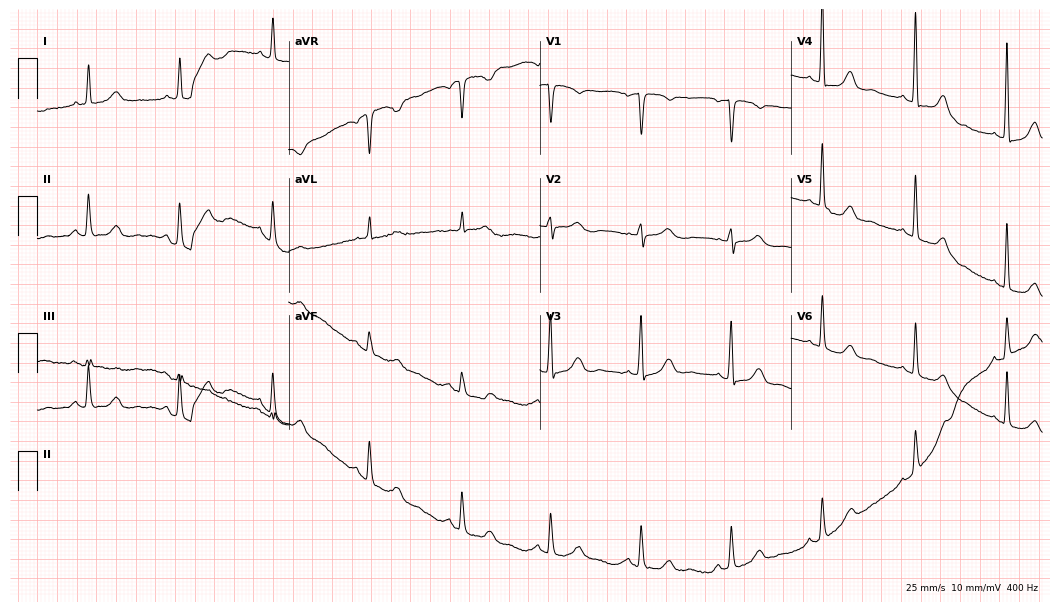
12-lead ECG from a woman, 56 years old. Labelled as a normal ECG.